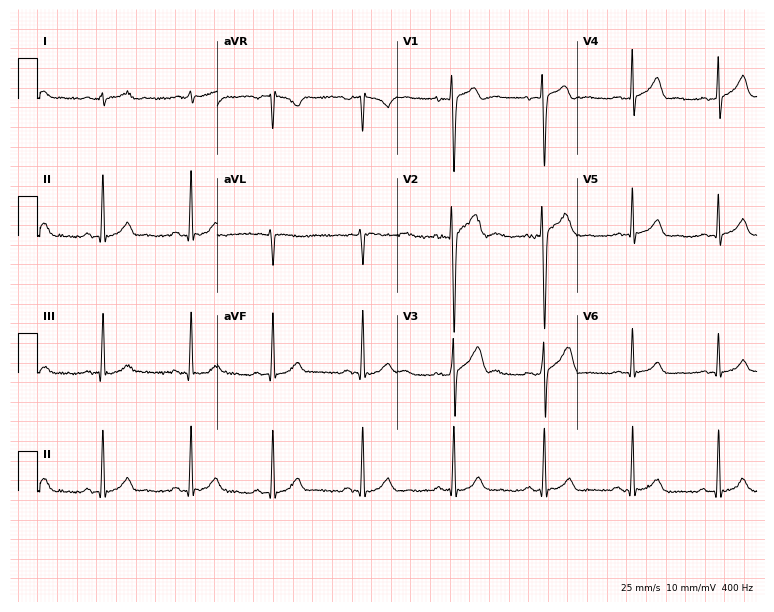
12-lead ECG (7.3-second recording at 400 Hz) from a 23-year-old male patient. Labelled as a normal ECG.